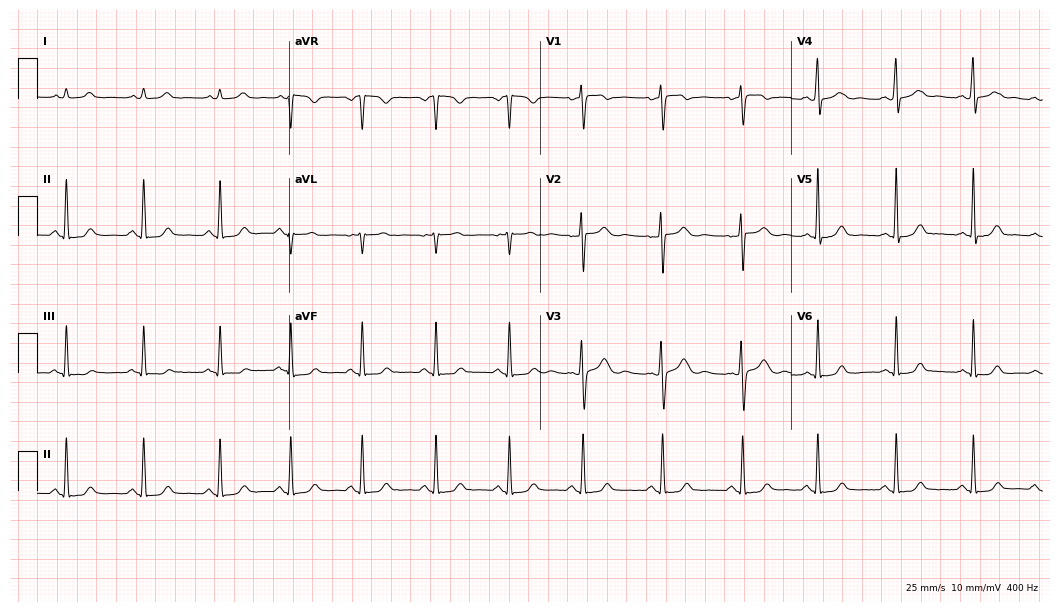
12-lead ECG from a 42-year-old woman (10.2-second recording at 400 Hz). Recorded interpretation: within normal limits.